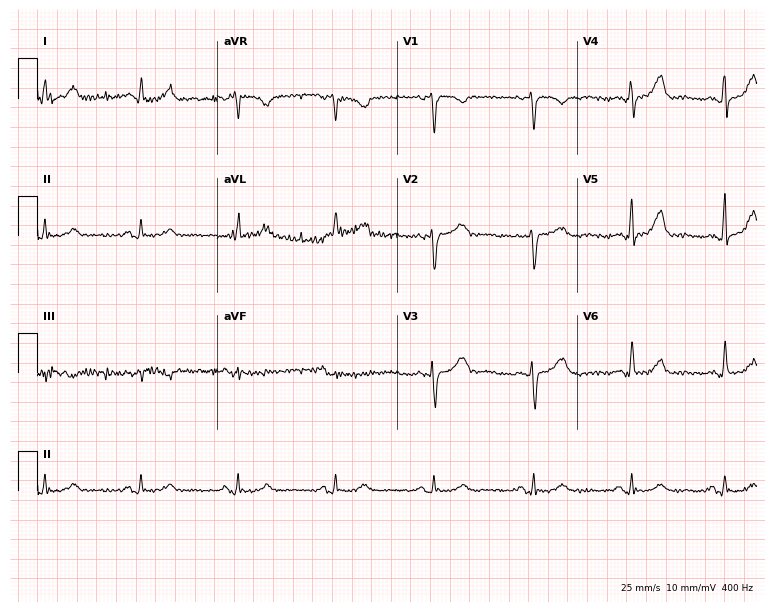
Standard 12-lead ECG recorded from a 76-year-old man. None of these six findings is recorded: first-degree AV block, right bundle branch block, left bundle branch block, sinus bradycardia, atrial fibrillation, sinus tachycardia.